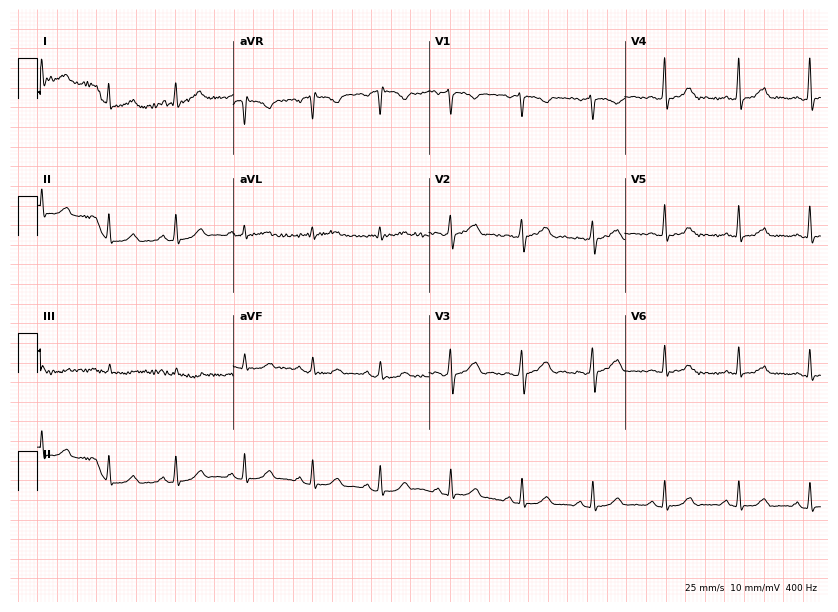
Resting 12-lead electrocardiogram (8-second recording at 400 Hz). Patient: a 45-year-old female. None of these six findings is recorded: first-degree AV block, right bundle branch block, left bundle branch block, sinus bradycardia, atrial fibrillation, sinus tachycardia.